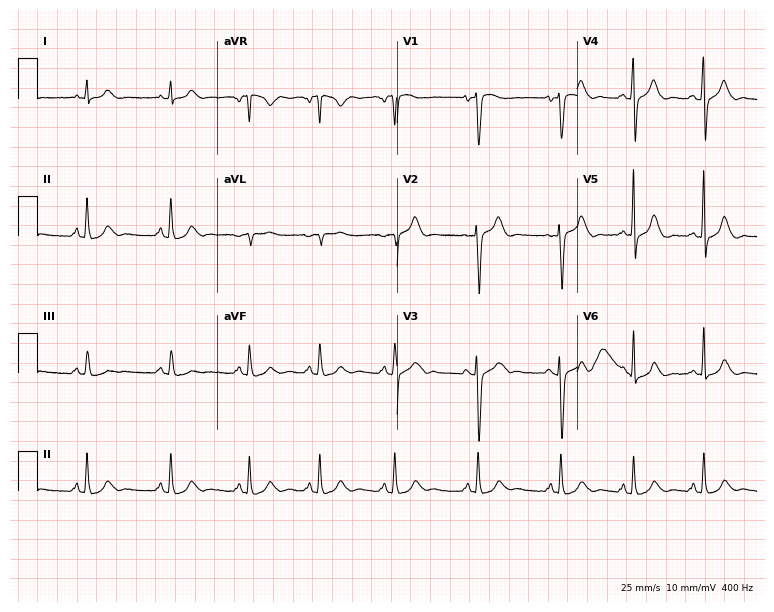
ECG — a woman, 17 years old. Labelled as a normal ECG.